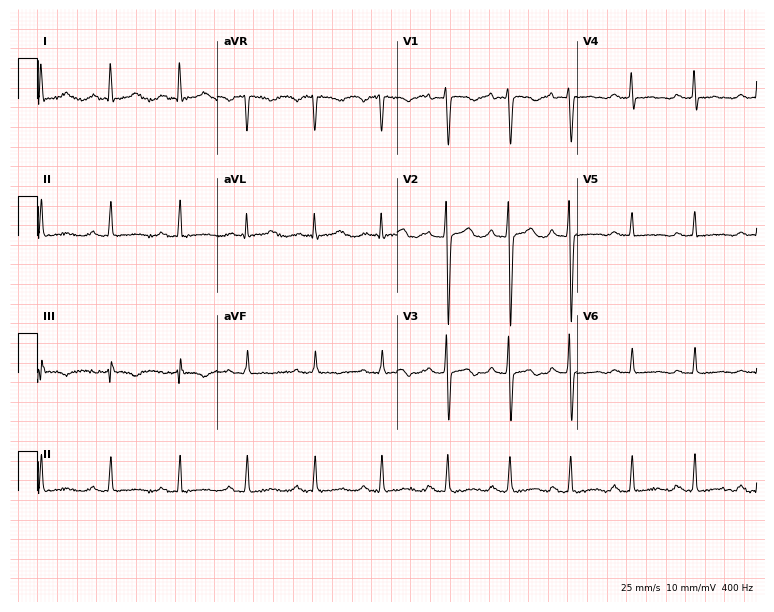
12-lead ECG from a woman, 25 years old (7.3-second recording at 400 Hz). Recorded interpretation: within normal limits.